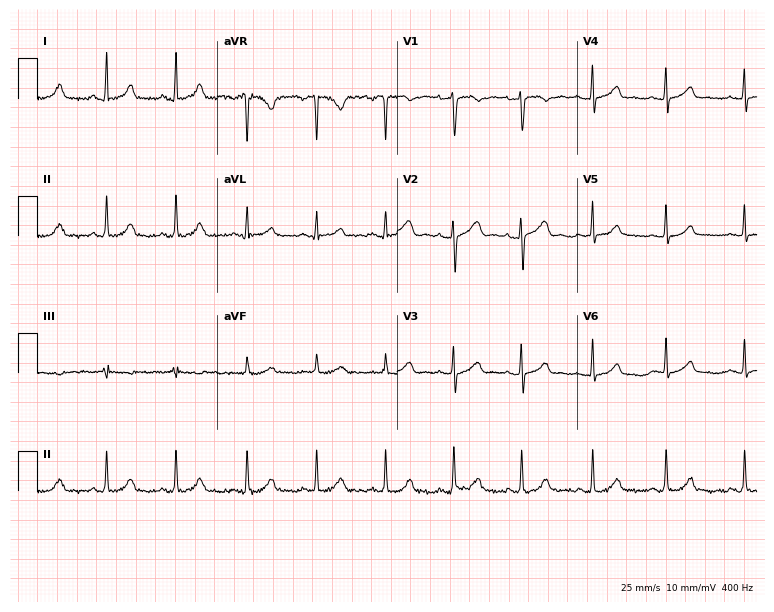
ECG (7.3-second recording at 400 Hz) — a 25-year-old woman. Labelled as a normal ECG.